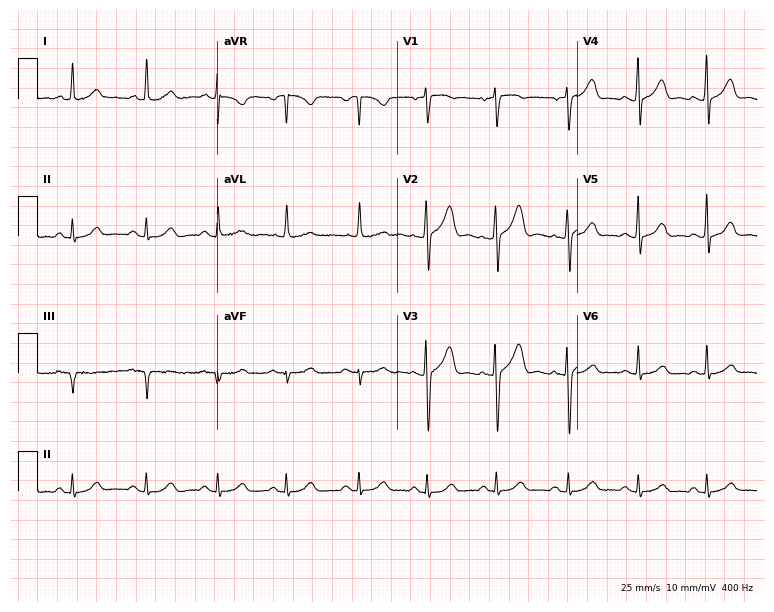
ECG (7.3-second recording at 400 Hz) — a man, 57 years old. Labelled as a normal ECG.